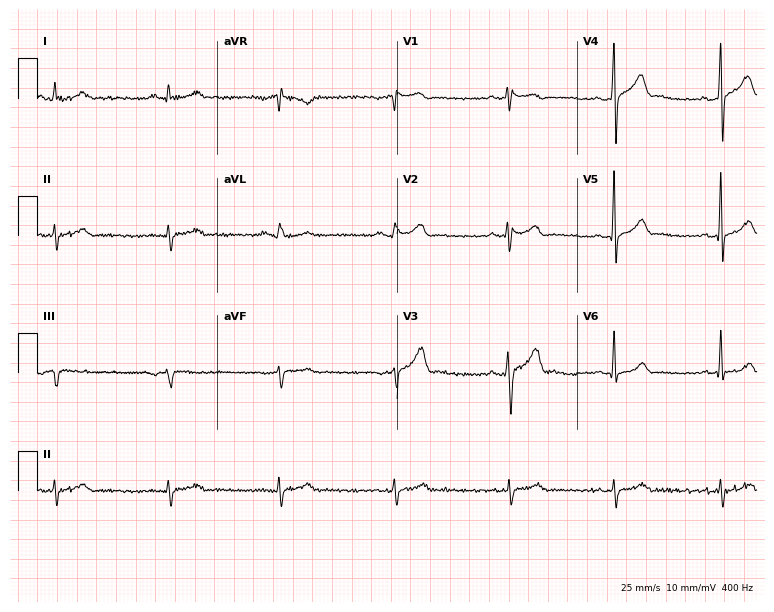
Electrocardiogram, a 25-year-old male patient. Overall reading on record: normal ECG.